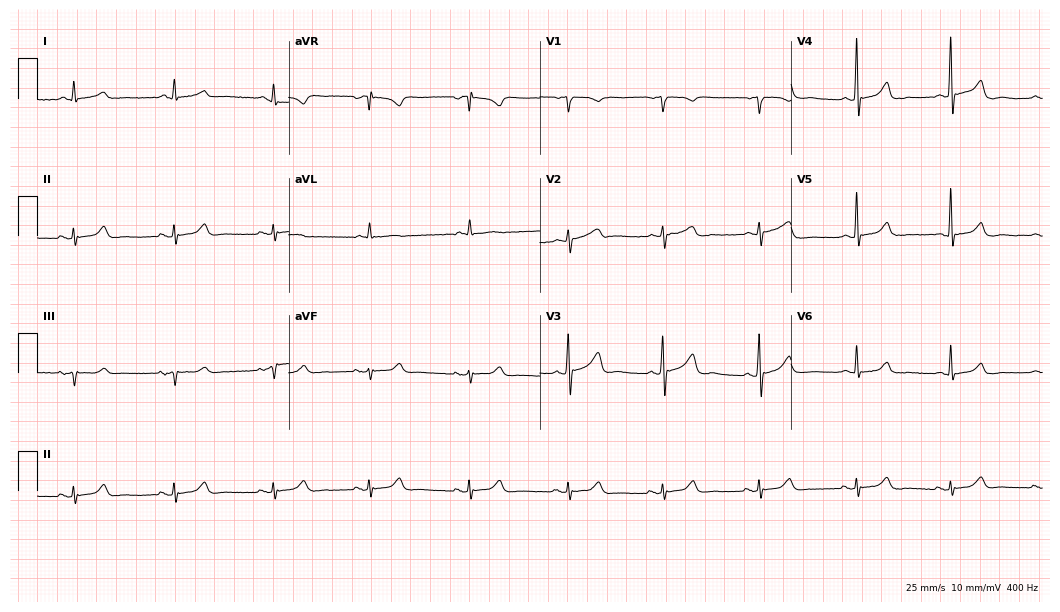
ECG — a male patient, 51 years old. Screened for six findings — first-degree AV block, right bundle branch block (RBBB), left bundle branch block (LBBB), sinus bradycardia, atrial fibrillation (AF), sinus tachycardia — none is recorded.